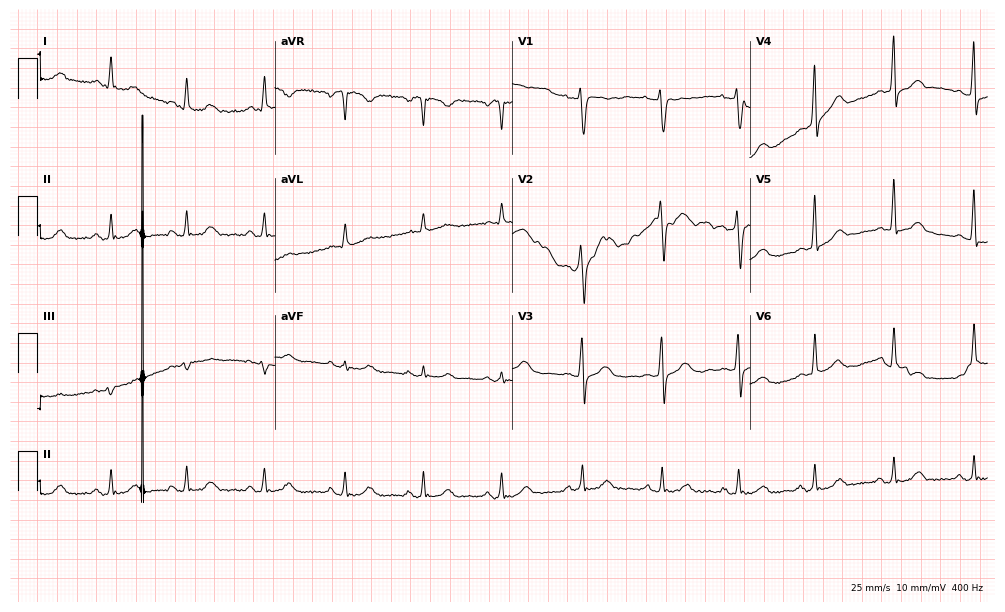
12-lead ECG from a woman, 60 years old (9.7-second recording at 400 Hz). No first-degree AV block, right bundle branch block, left bundle branch block, sinus bradycardia, atrial fibrillation or sinus tachycardia recorded for this tracing.